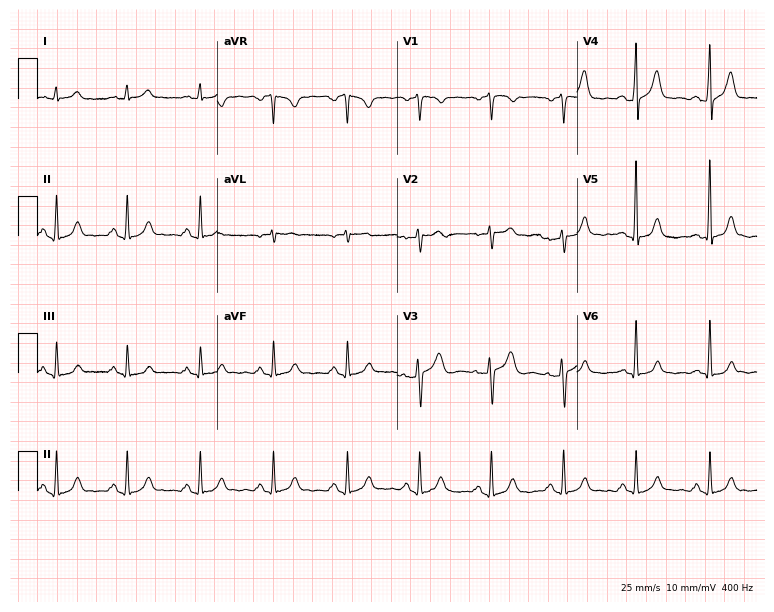
12-lead ECG (7.3-second recording at 400 Hz) from a 50-year-old male. Labelled as a normal ECG.